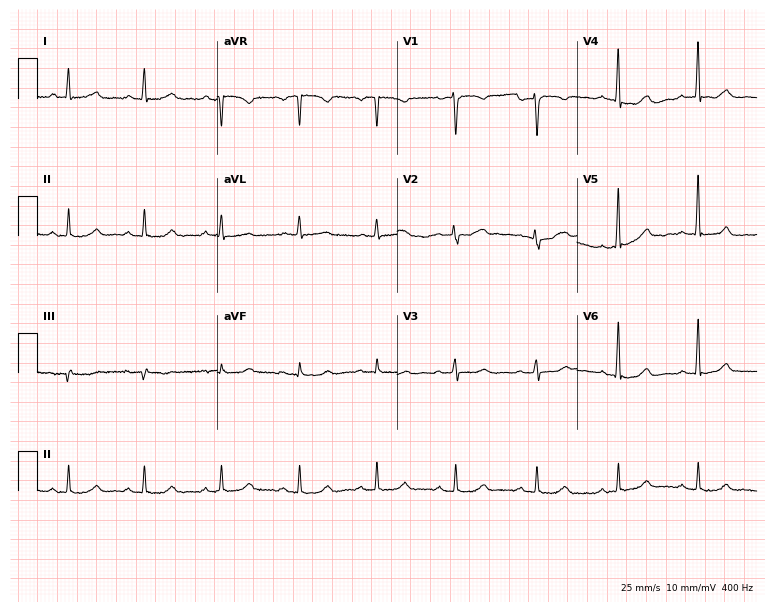
12-lead ECG from a woman, 59 years old. Labelled as a normal ECG.